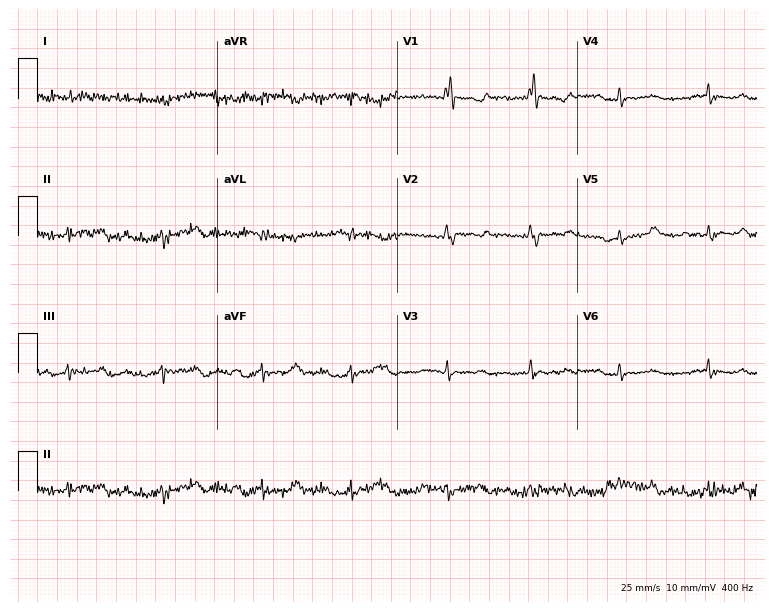
12-lead ECG (7.3-second recording at 400 Hz) from a male patient, 67 years old. Screened for six findings — first-degree AV block, right bundle branch block, left bundle branch block, sinus bradycardia, atrial fibrillation, sinus tachycardia — none is recorded. Only these six findings were labelled.